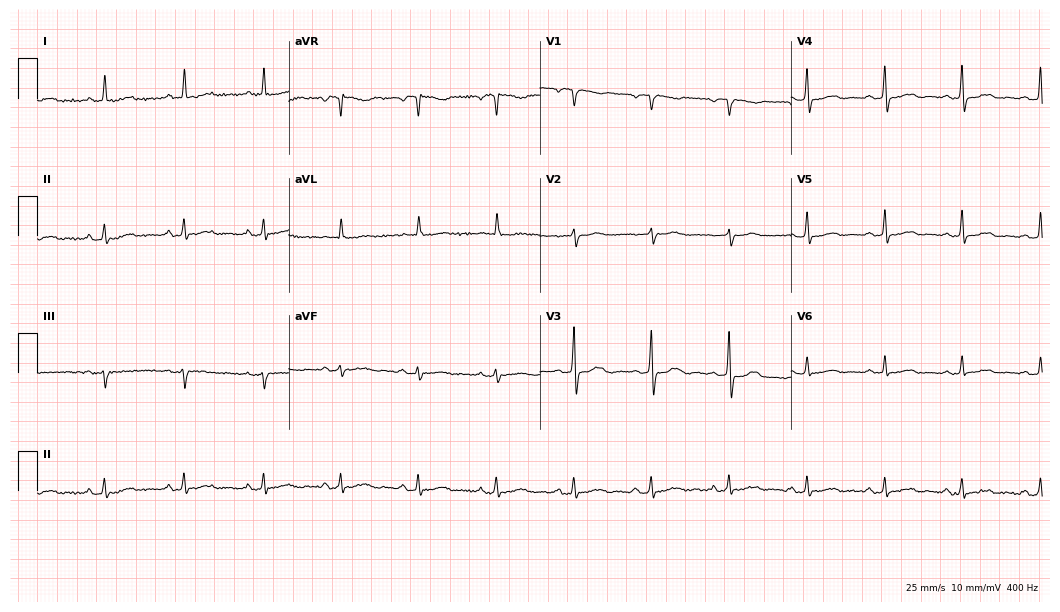
Standard 12-lead ECG recorded from a woman, 72 years old (10.2-second recording at 400 Hz). None of these six findings is recorded: first-degree AV block, right bundle branch block, left bundle branch block, sinus bradycardia, atrial fibrillation, sinus tachycardia. Other findings, if any, are not listed.